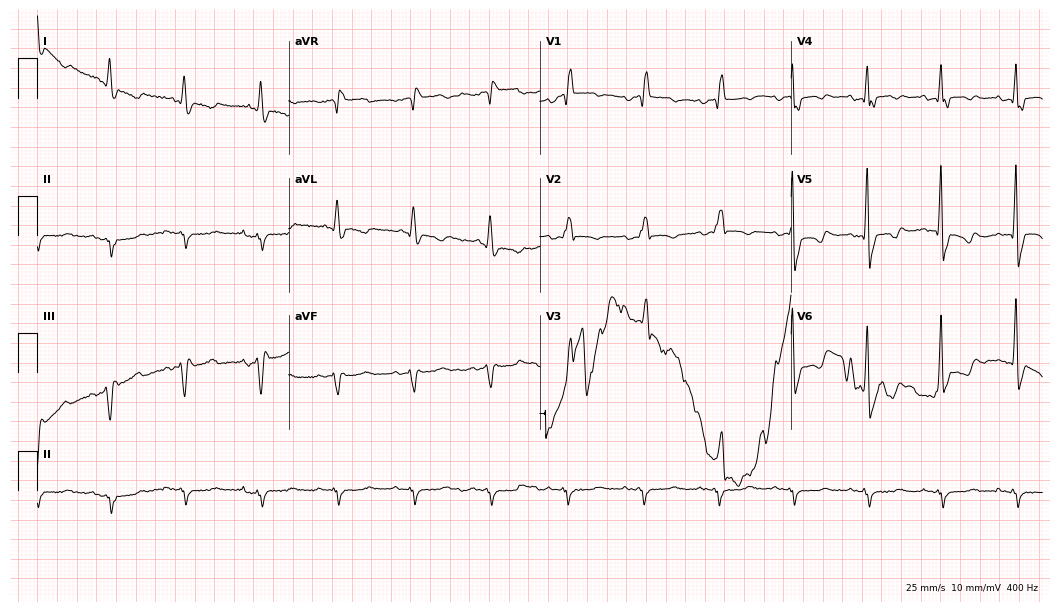
Resting 12-lead electrocardiogram. Patient: a male, 64 years old. The tracing shows right bundle branch block.